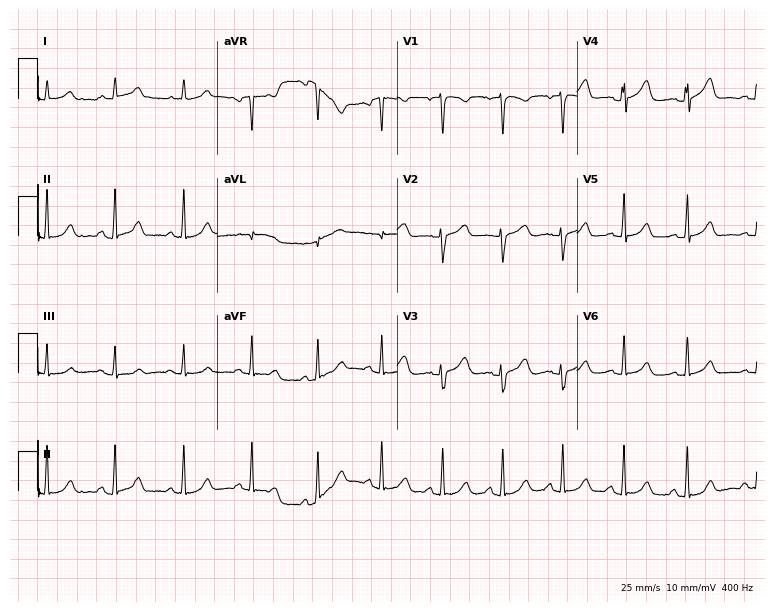
Standard 12-lead ECG recorded from a 39-year-old female. None of these six findings is recorded: first-degree AV block, right bundle branch block (RBBB), left bundle branch block (LBBB), sinus bradycardia, atrial fibrillation (AF), sinus tachycardia. Only these six findings were labelled.